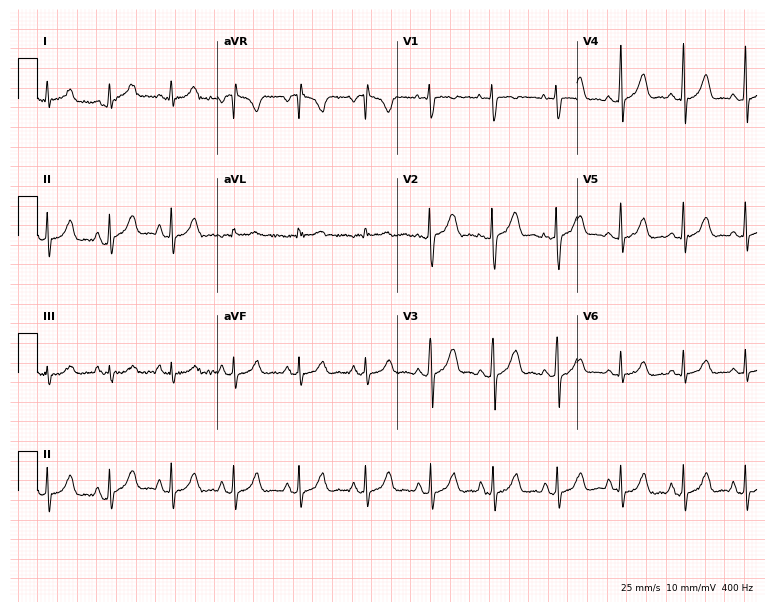
ECG (7.3-second recording at 400 Hz) — a 24-year-old woman. Labelled as a normal ECG.